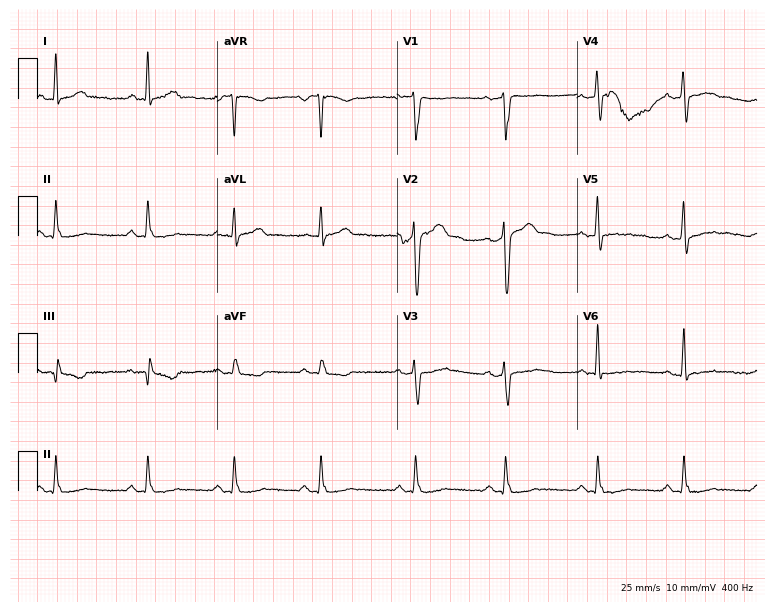
Resting 12-lead electrocardiogram. Patient: a 54-year-old male. None of these six findings is recorded: first-degree AV block, right bundle branch block, left bundle branch block, sinus bradycardia, atrial fibrillation, sinus tachycardia.